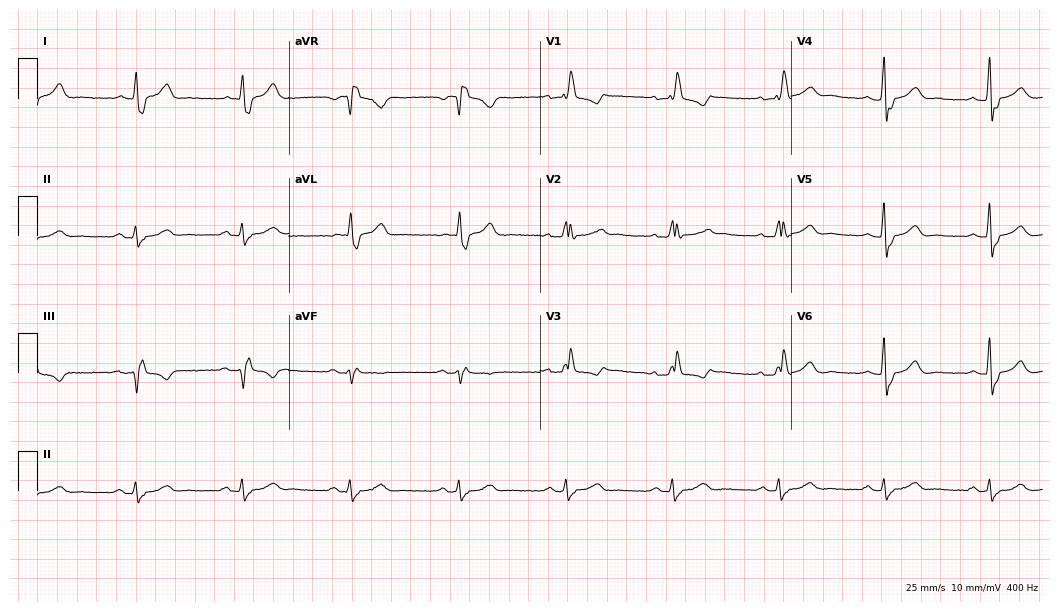
Standard 12-lead ECG recorded from a 71-year-old man. The tracing shows right bundle branch block.